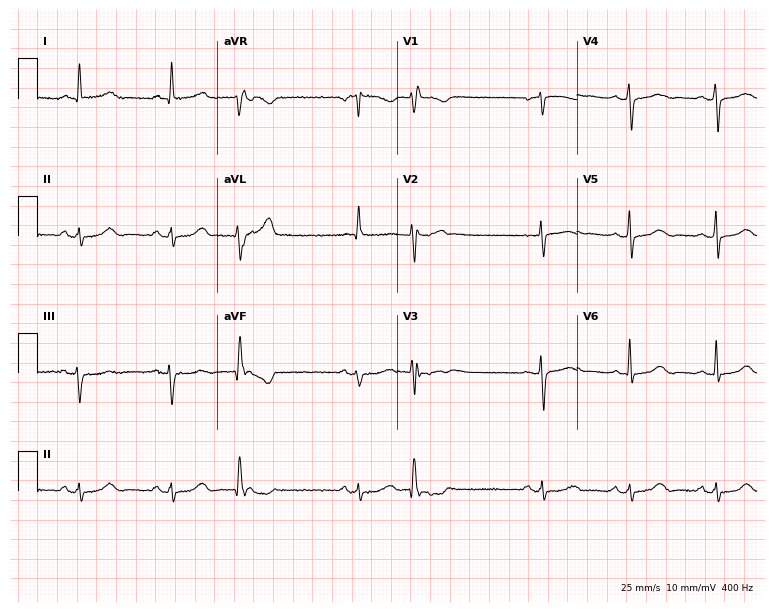
ECG (7.3-second recording at 400 Hz) — a 49-year-old woman. Screened for six findings — first-degree AV block, right bundle branch block, left bundle branch block, sinus bradycardia, atrial fibrillation, sinus tachycardia — none is recorded. Other findings, if any, are not listed.